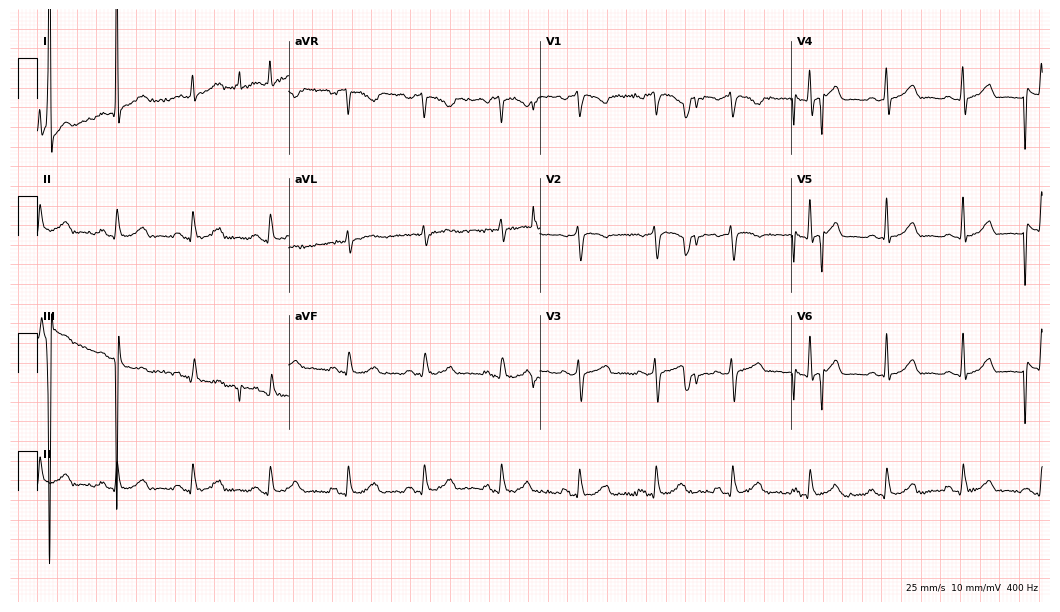
12-lead ECG from a 45-year-old female. No first-degree AV block, right bundle branch block, left bundle branch block, sinus bradycardia, atrial fibrillation or sinus tachycardia recorded for this tracing.